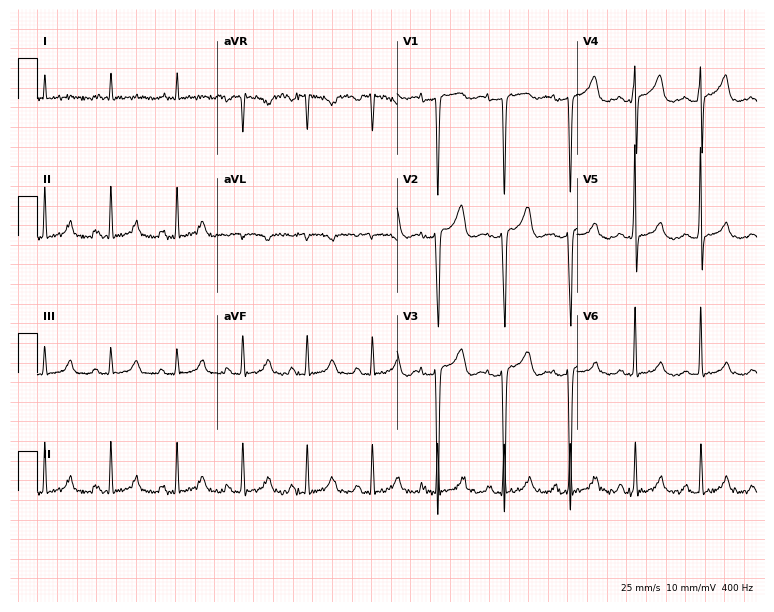
Electrocardiogram, a 38-year-old female. Of the six screened findings (first-degree AV block, right bundle branch block, left bundle branch block, sinus bradycardia, atrial fibrillation, sinus tachycardia), none is recorded.